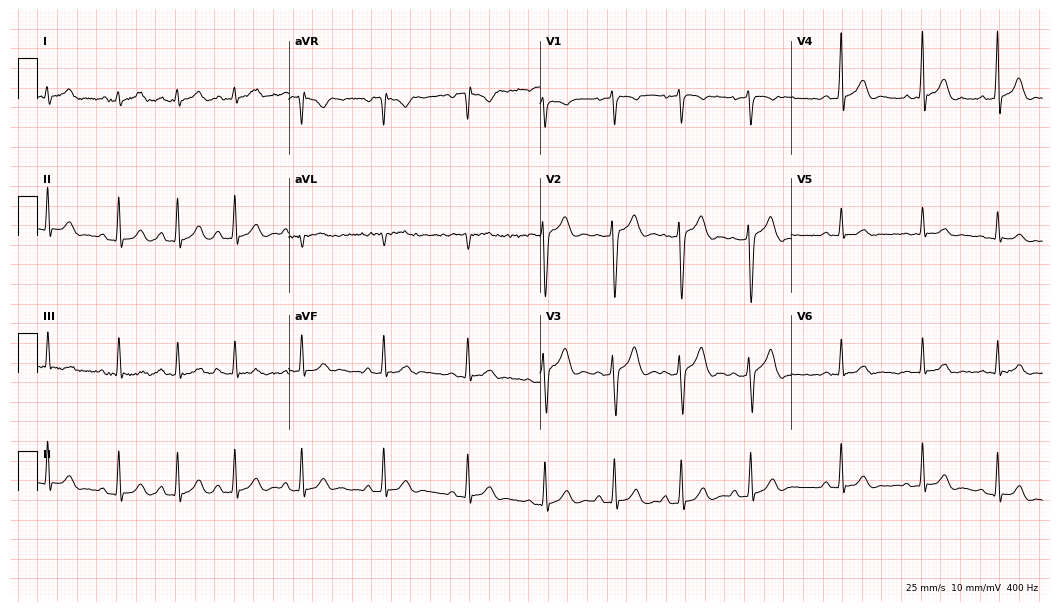
Standard 12-lead ECG recorded from a male, 20 years old (10.2-second recording at 400 Hz). None of these six findings is recorded: first-degree AV block, right bundle branch block, left bundle branch block, sinus bradycardia, atrial fibrillation, sinus tachycardia.